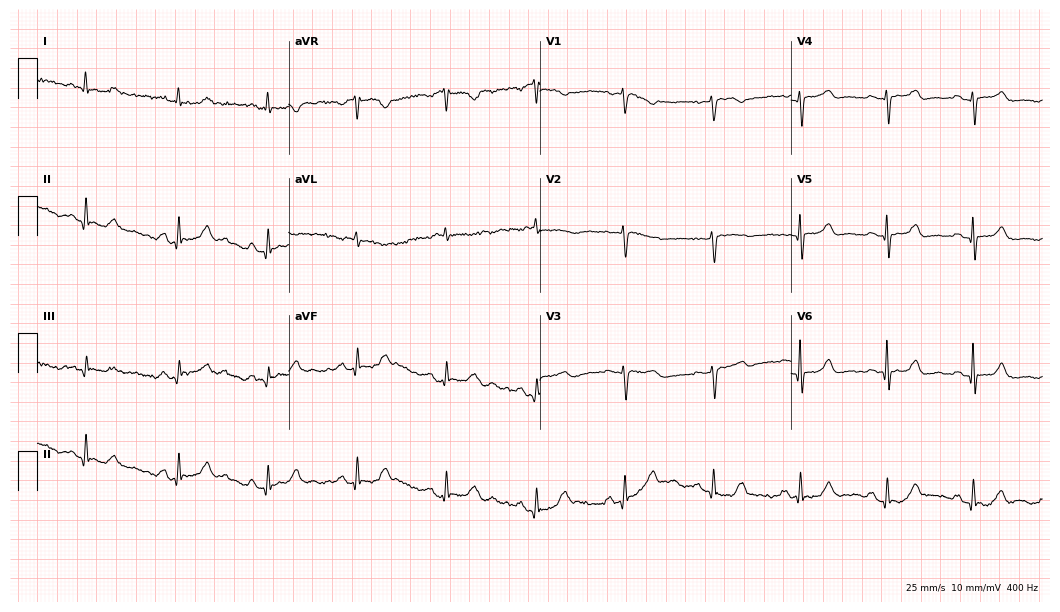
12-lead ECG from a female patient, 77 years old (10.2-second recording at 400 Hz). No first-degree AV block, right bundle branch block, left bundle branch block, sinus bradycardia, atrial fibrillation or sinus tachycardia recorded for this tracing. Findings outside these six are not listed.